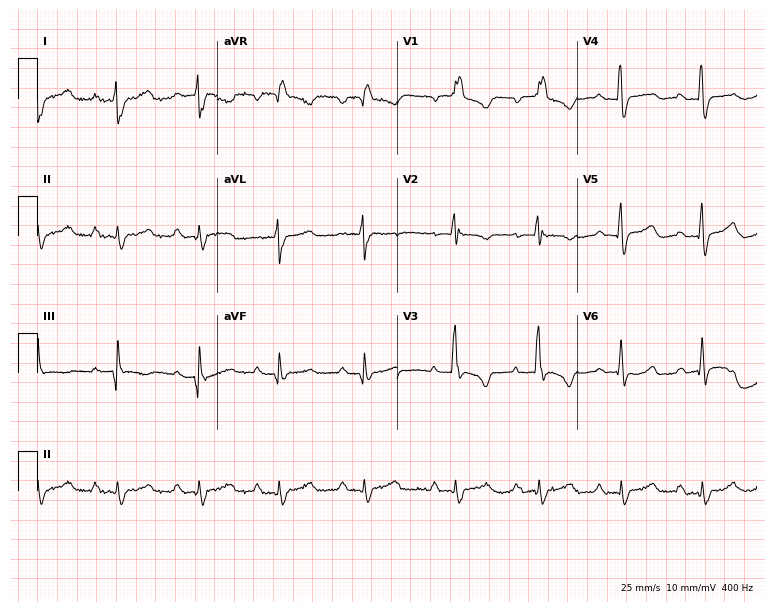
Electrocardiogram (7.3-second recording at 400 Hz), a 45-year-old woman. Of the six screened findings (first-degree AV block, right bundle branch block (RBBB), left bundle branch block (LBBB), sinus bradycardia, atrial fibrillation (AF), sinus tachycardia), none is recorded. Other findings, if any, are not listed.